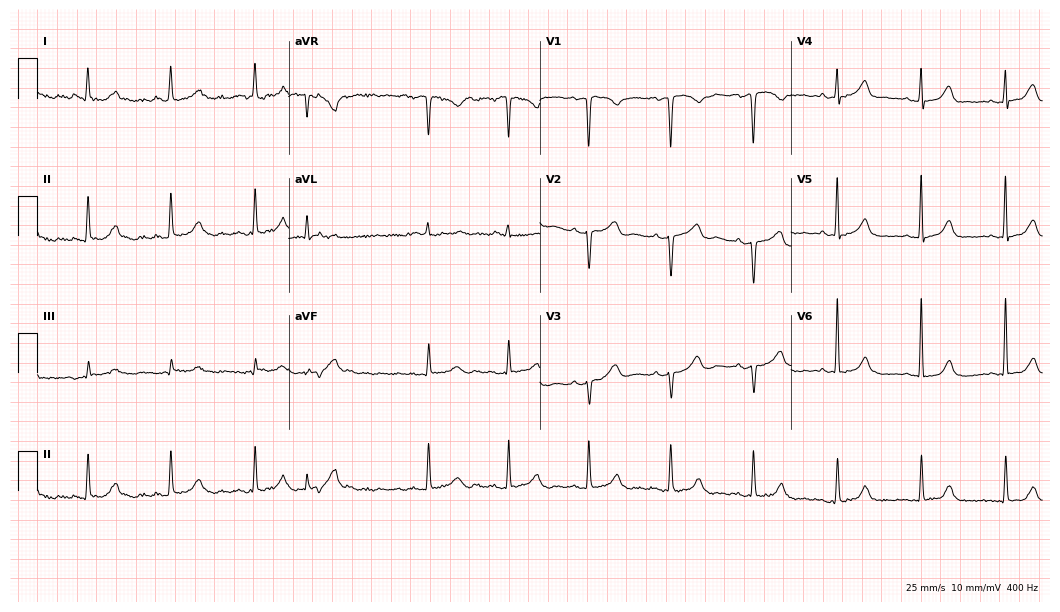
Standard 12-lead ECG recorded from a female, 77 years old (10.2-second recording at 400 Hz). None of these six findings is recorded: first-degree AV block, right bundle branch block, left bundle branch block, sinus bradycardia, atrial fibrillation, sinus tachycardia. Other findings, if any, are not listed.